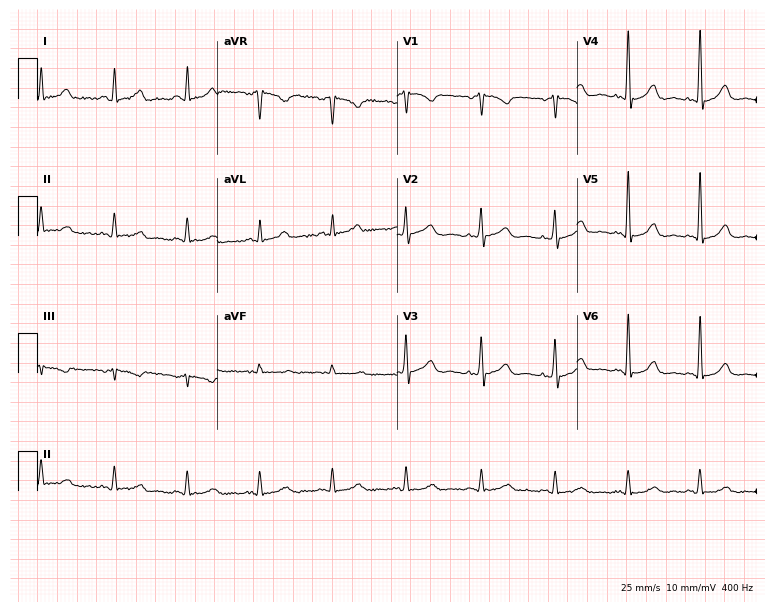
12-lead ECG from a 53-year-old female. No first-degree AV block, right bundle branch block (RBBB), left bundle branch block (LBBB), sinus bradycardia, atrial fibrillation (AF) or sinus tachycardia recorded for this tracing. Only these six findings were labelled.